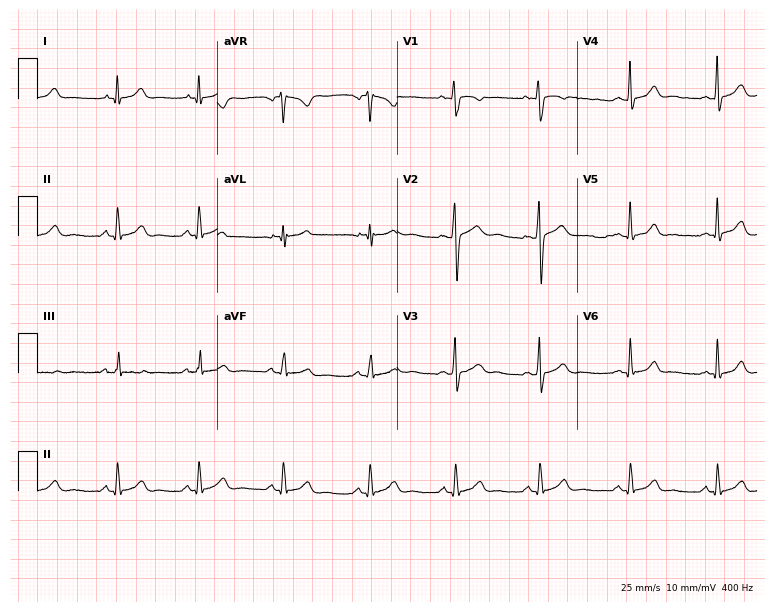
ECG — a 30-year-old female. Screened for six findings — first-degree AV block, right bundle branch block (RBBB), left bundle branch block (LBBB), sinus bradycardia, atrial fibrillation (AF), sinus tachycardia — none is recorded. Other findings, if any, are not listed.